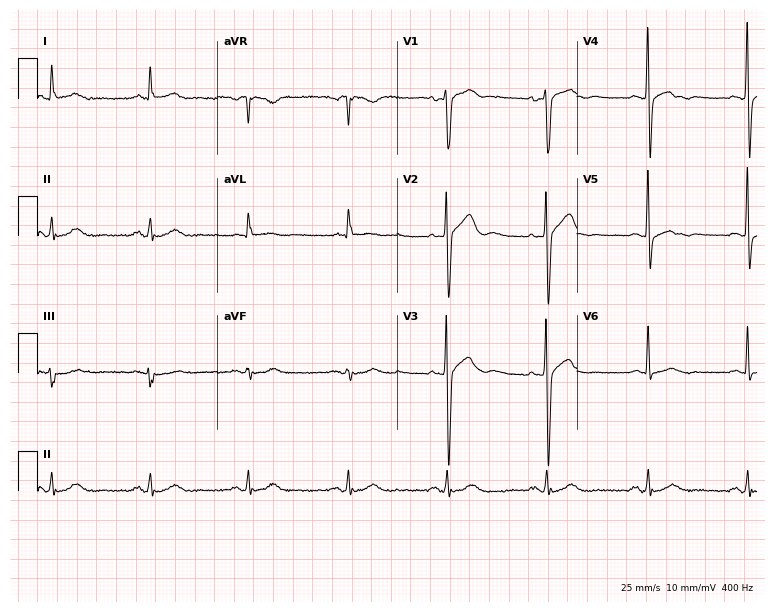
Electrocardiogram, a 48-year-old male. Of the six screened findings (first-degree AV block, right bundle branch block (RBBB), left bundle branch block (LBBB), sinus bradycardia, atrial fibrillation (AF), sinus tachycardia), none is recorded.